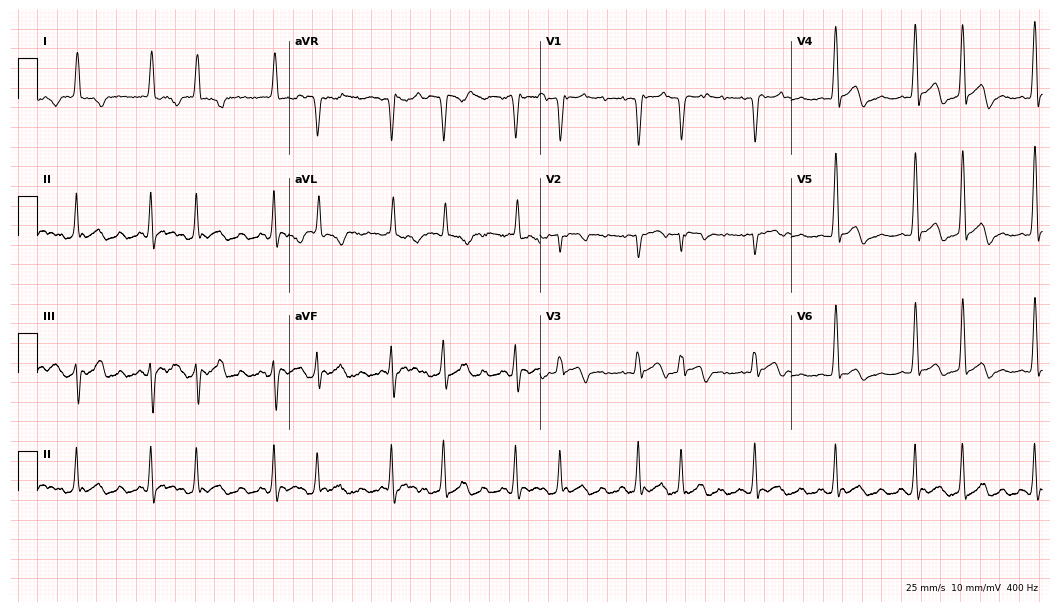
Resting 12-lead electrocardiogram. Patient: a woman, 83 years old. The tracing shows atrial fibrillation.